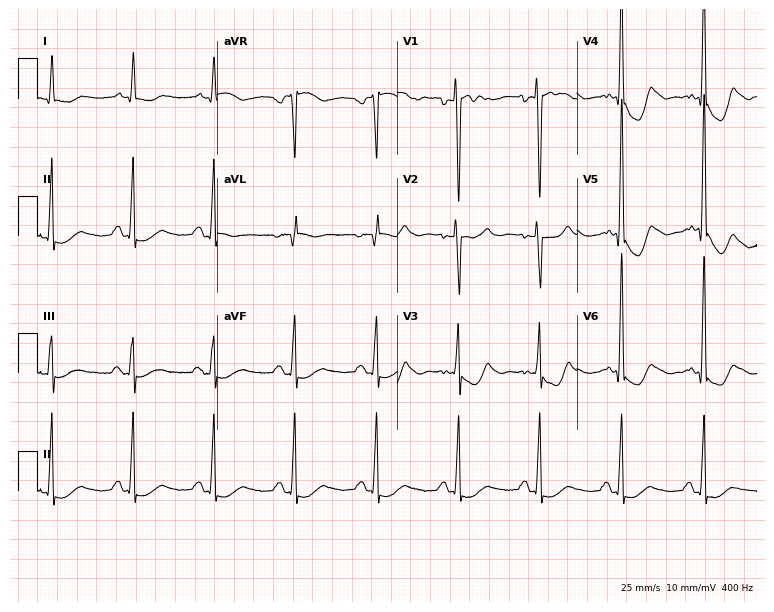
Resting 12-lead electrocardiogram (7.3-second recording at 400 Hz). Patient: a 59-year-old man. None of these six findings is recorded: first-degree AV block, right bundle branch block, left bundle branch block, sinus bradycardia, atrial fibrillation, sinus tachycardia. Other findings, if any, are not listed.